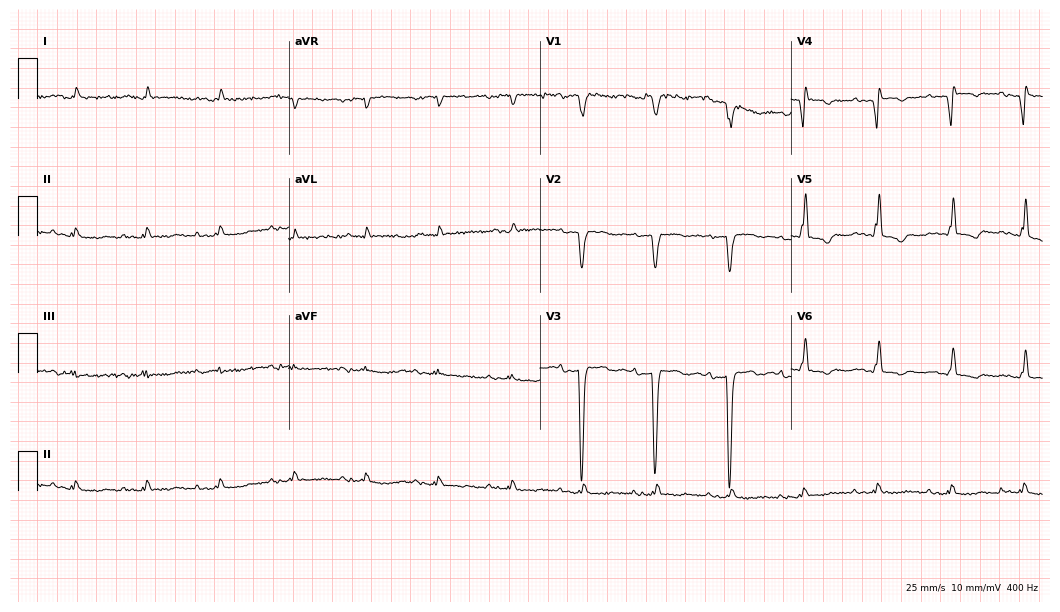
12-lead ECG from a male, 69 years old. Screened for six findings — first-degree AV block, right bundle branch block, left bundle branch block, sinus bradycardia, atrial fibrillation, sinus tachycardia — none is recorded.